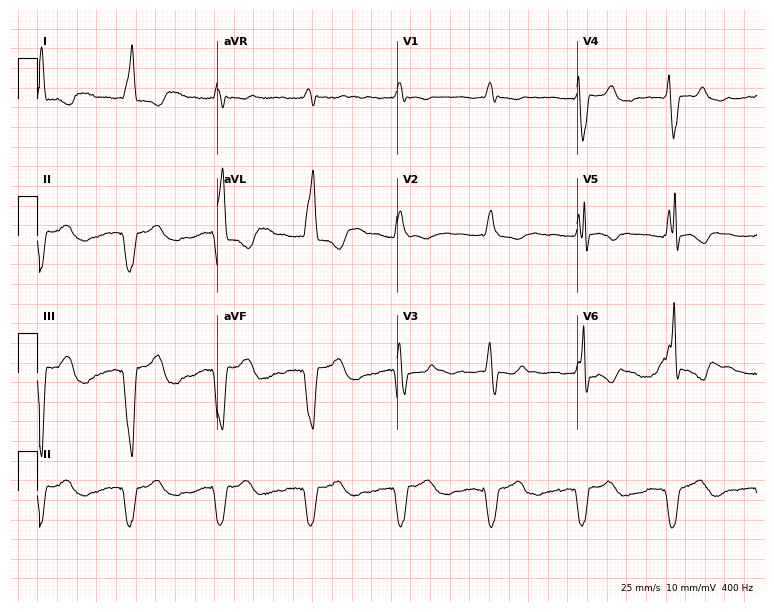
Standard 12-lead ECG recorded from a 71-year-old female patient. None of these six findings is recorded: first-degree AV block, right bundle branch block, left bundle branch block, sinus bradycardia, atrial fibrillation, sinus tachycardia.